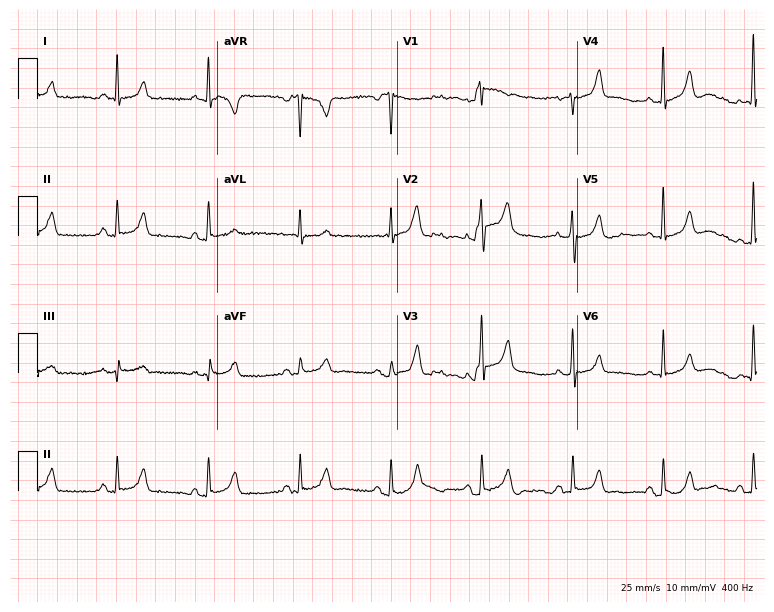
Resting 12-lead electrocardiogram (7.3-second recording at 400 Hz). Patient: a 70-year-old woman. Read as a normal ECG.